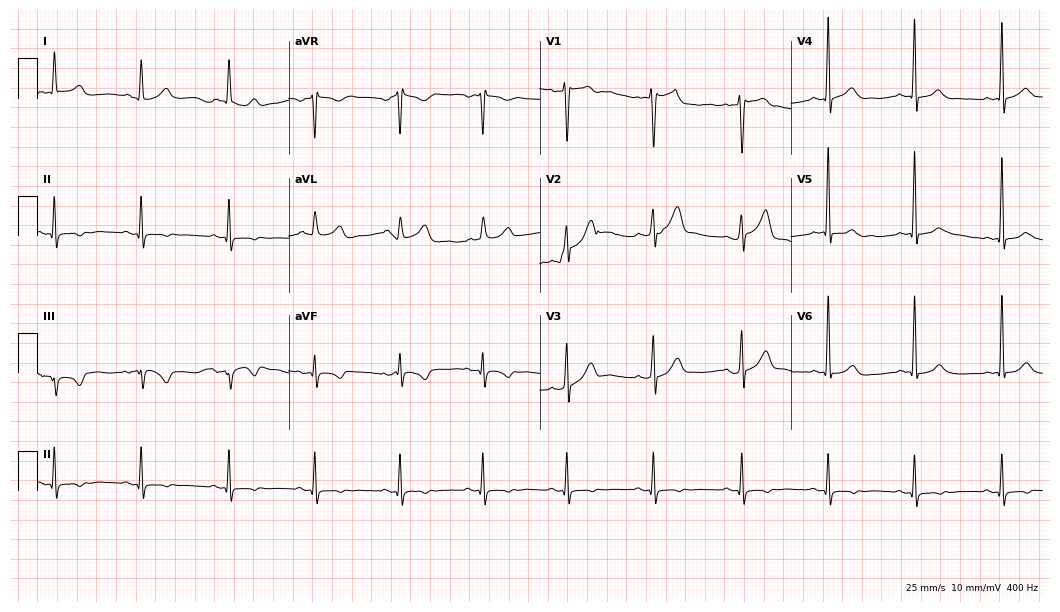
12-lead ECG from a 64-year-old male. No first-degree AV block, right bundle branch block, left bundle branch block, sinus bradycardia, atrial fibrillation or sinus tachycardia recorded for this tracing. Only these six findings were labelled.